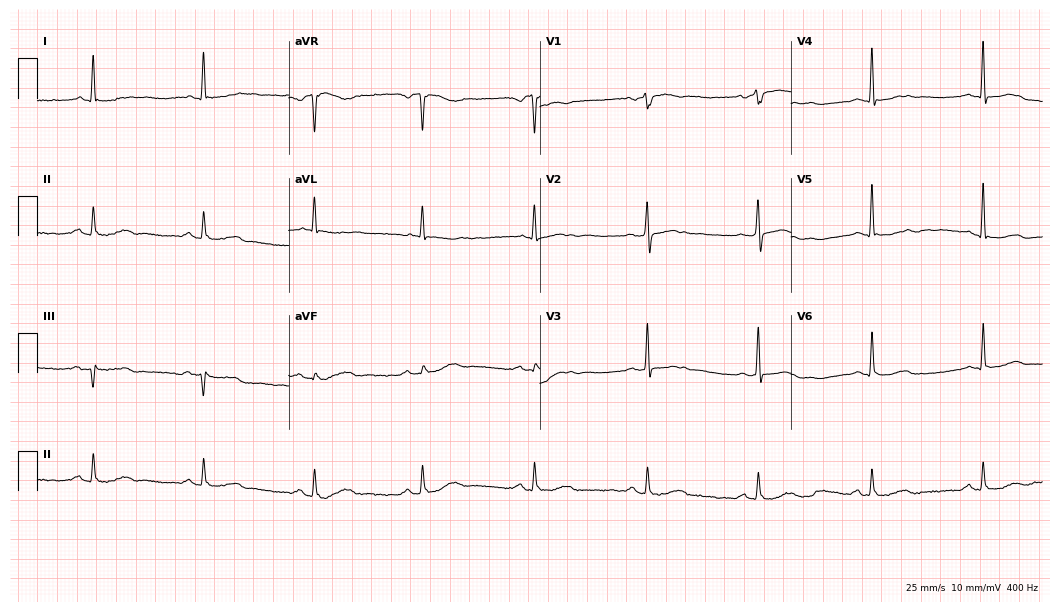
Electrocardiogram (10.2-second recording at 400 Hz), a female patient, 79 years old. Of the six screened findings (first-degree AV block, right bundle branch block, left bundle branch block, sinus bradycardia, atrial fibrillation, sinus tachycardia), none is recorded.